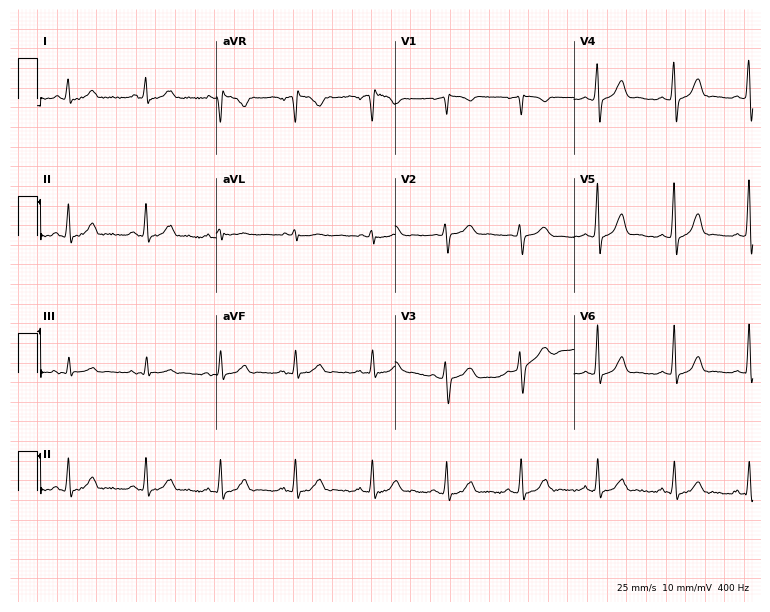
Resting 12-lead electrocardiogram. Patient: a 30-year-old female. None of these six findings is recorded: first-degree AV block, right bundle branch block, left bundle branch block, sinus bradycardia, atrial fibrillation, sinus tachycardia.